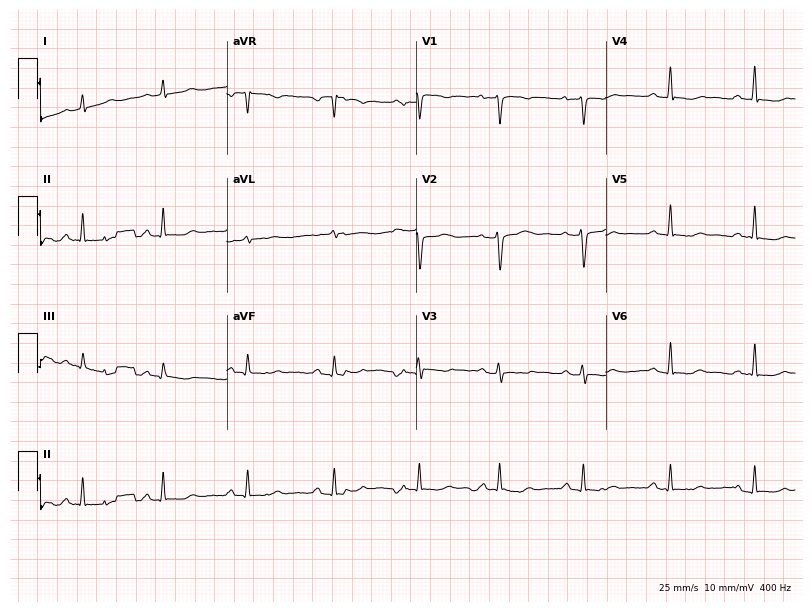
Standard 12-lead ECG recorded from a woman, 31 years old. None of these six findings is recorded: first-degree AV block, right bundle branch block, left bundle branch block, sinus bradycardia, atrial fibrillation, sinus tachycardia. Findings outside these six are not listed.